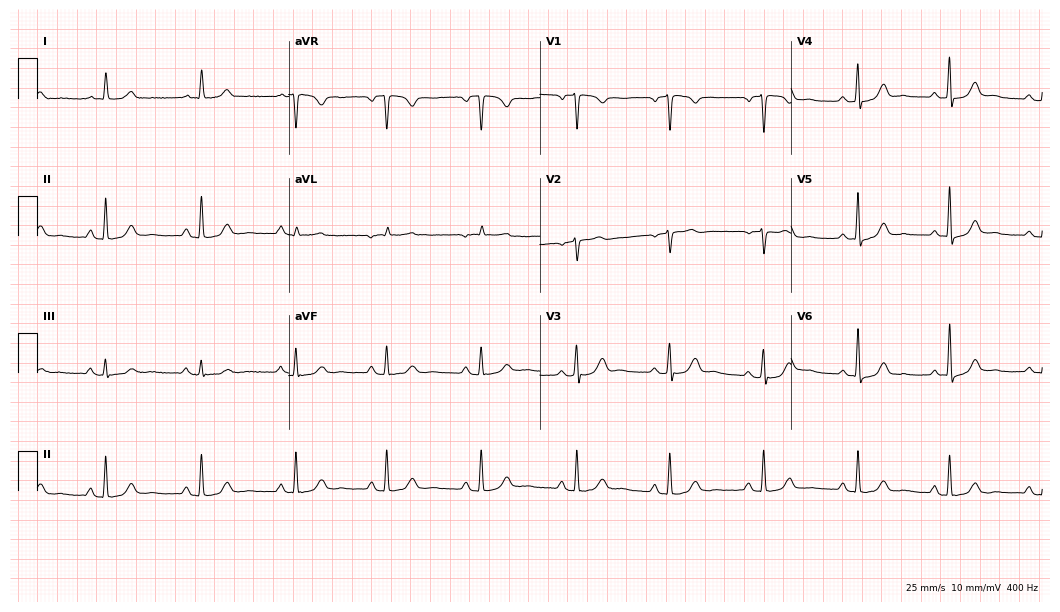
Electrocardiogram, a 52-year-old female patient. Overall reading on record: normal ECG.